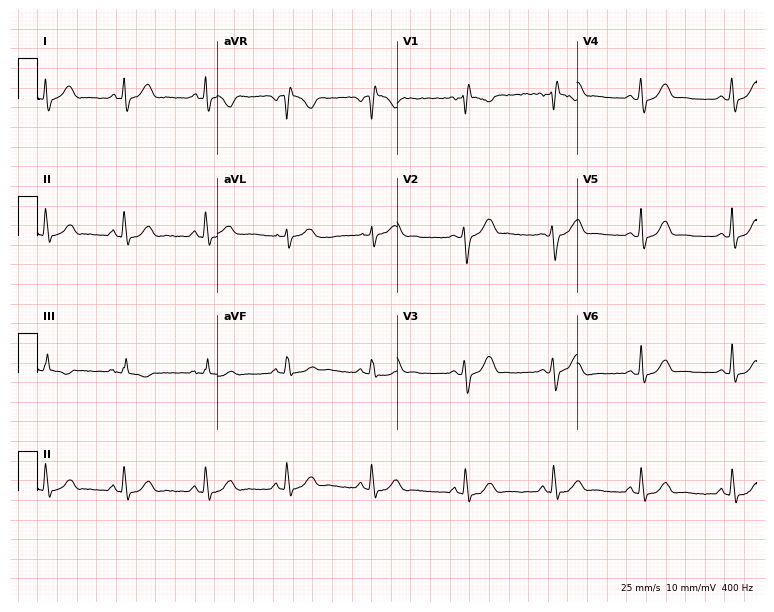
Electrocardiogram (7.3-second recording at 400 Hz), a female patient, 38 years old. Of the six screened findings (first-degree AV block, right bundle branch block, left bundle branch block, sinus bradycardia, atrial fibrillation, sinus tachycardia), none is recorded.